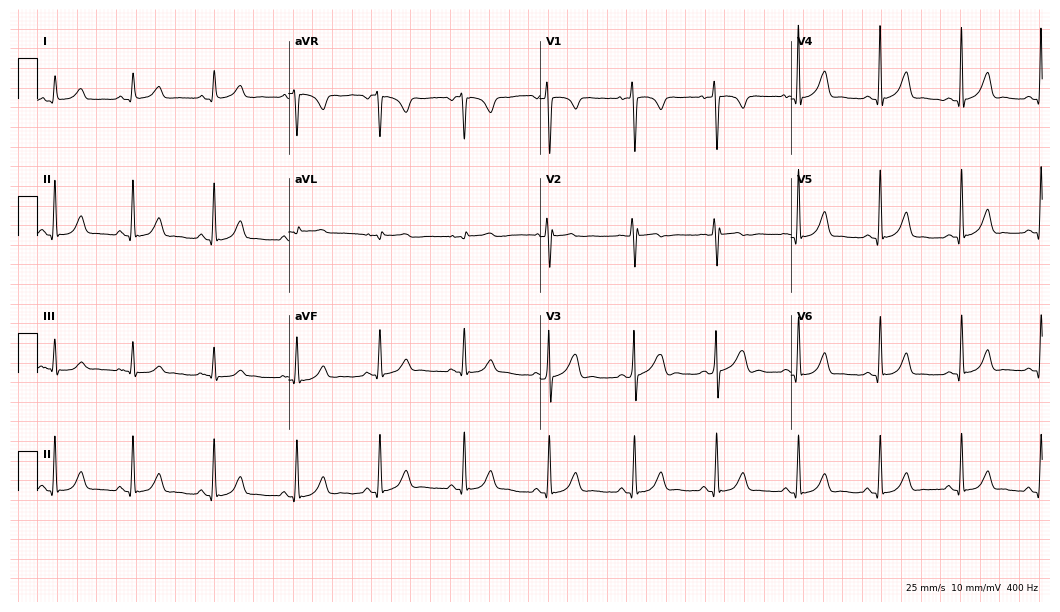
Standard 12-lead ECG recorded from a 75-year-old female patient (10.2-second recording at 400 Hz). Read as a normal ECG.